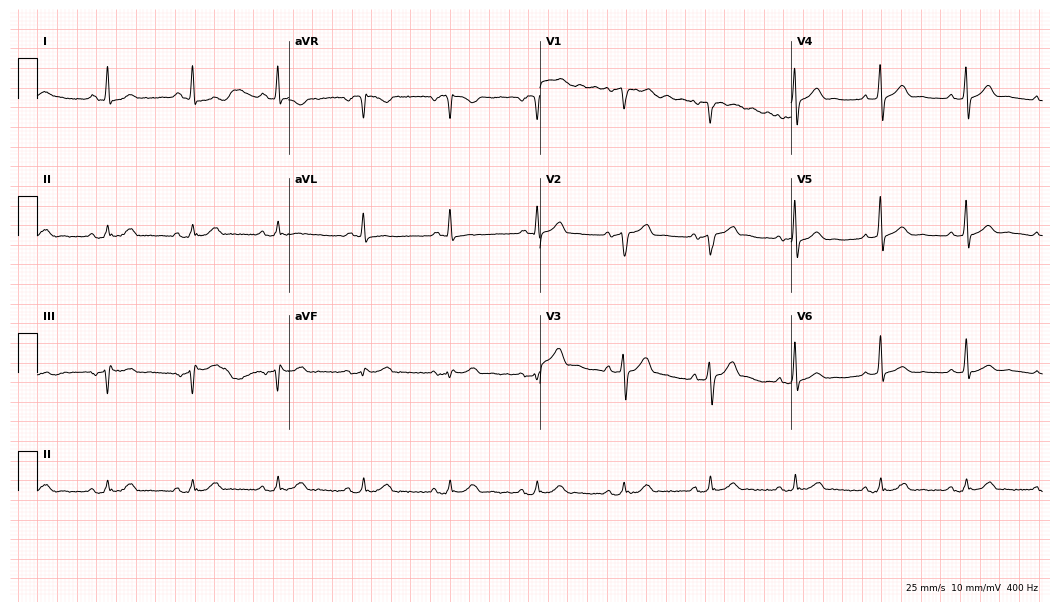
12-lead ECG (10.2-second recording at 400 Hz) from a man, 64 years old. Labelled as a normal ECG.